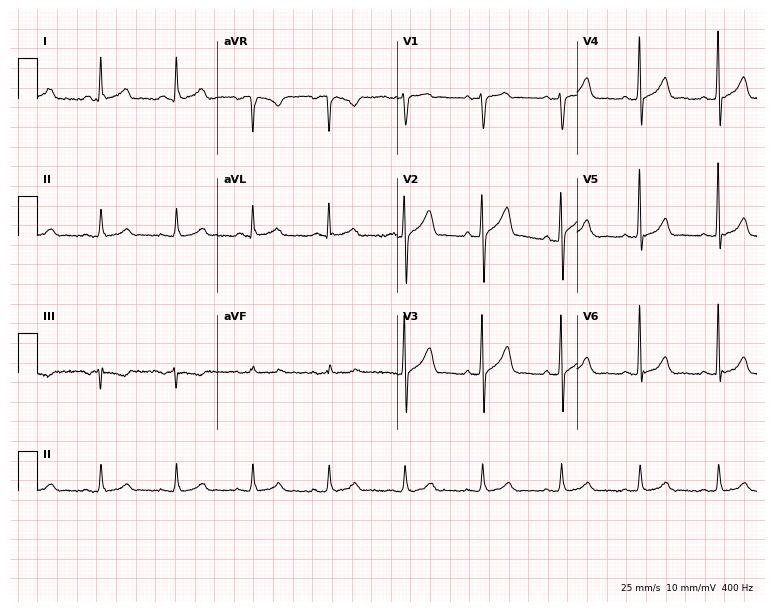
Standard 12-lead ECG recorded from a 43-year-old male patient. Read as a normal ECG.